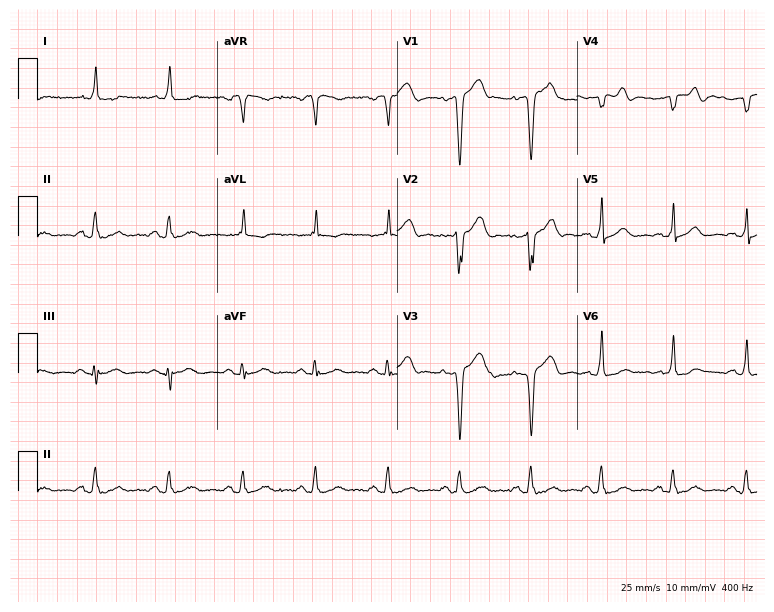
ECG — a 74-year-old male patient. Screened for six findings — first-degree AV block, right bundle branch block, left bundle branch block, sinus bradycardia, atrial fibrillation, sinus tachycardia — none is recorded. Other findings, if any, are not listed.